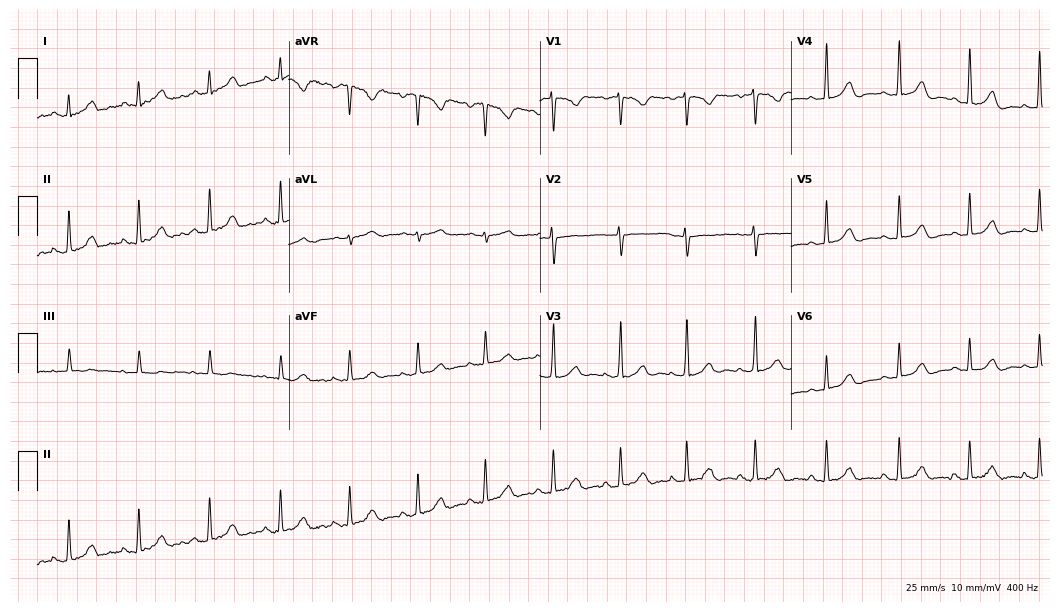
Standard 12-lead ECG recorded from a 19-year-old female patient (10.2-second recording at 400 Hz). Read as a normal ECG.